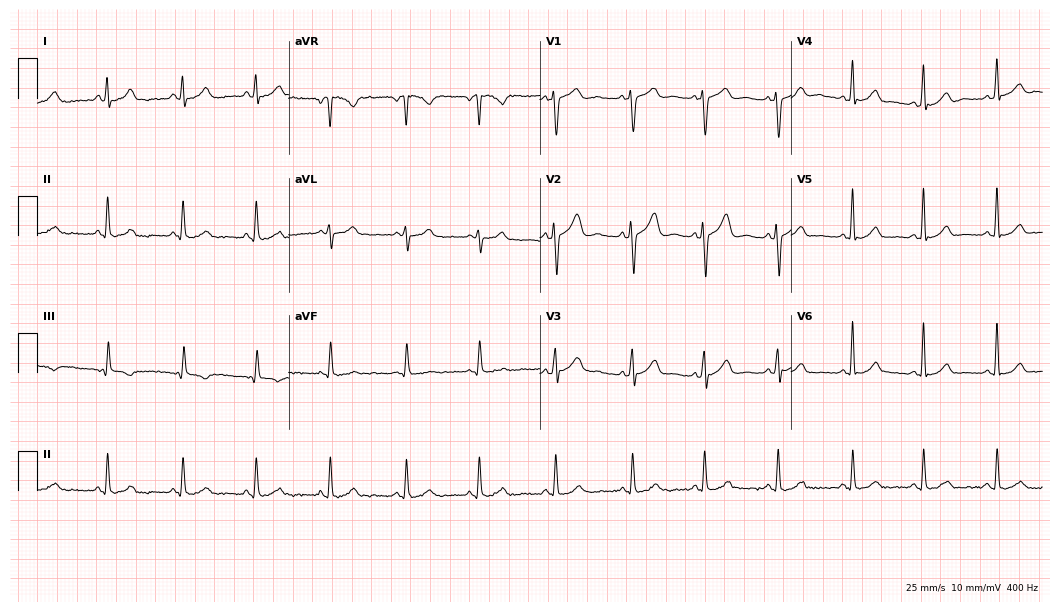
12-lead ECG from a 29-year-old man. Screened for six findings — first-degree AV block, right bundle branch block, left bundle branch block, sinus bradycardia, atrial fibrillation, sinus tachycardia — none is recorded. Other findings, if any, are not listed.